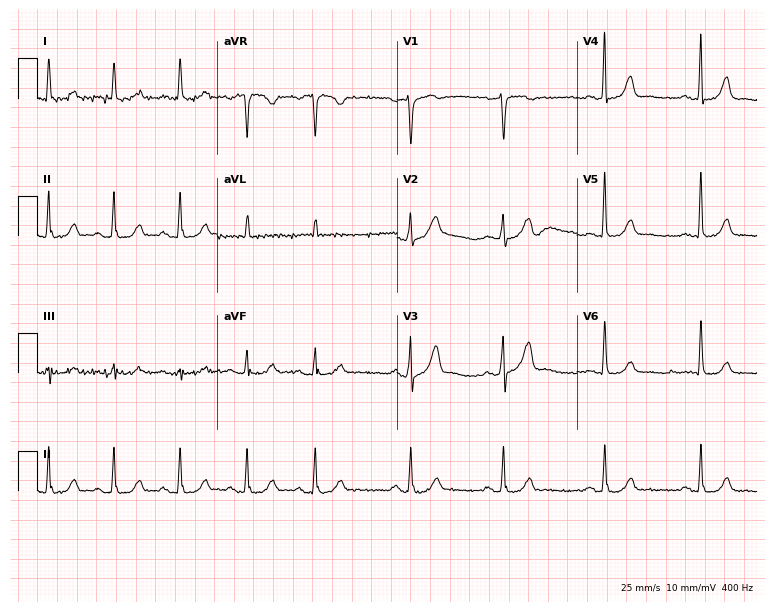
ECG — an 83-year-old female. Labelled as a normal ECG.